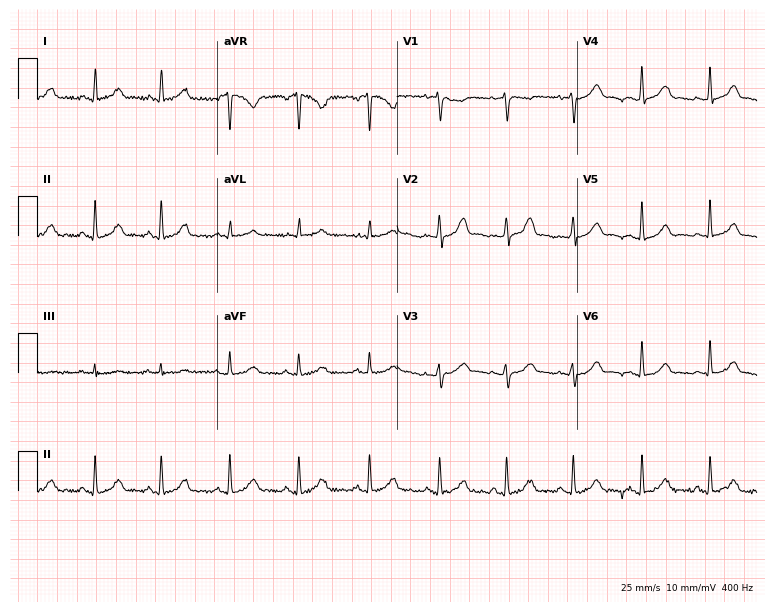
Electrocardiogram (7.3-second recording at 400 Hz), a 31-year-old female. Overall reading on record: normal ECG.